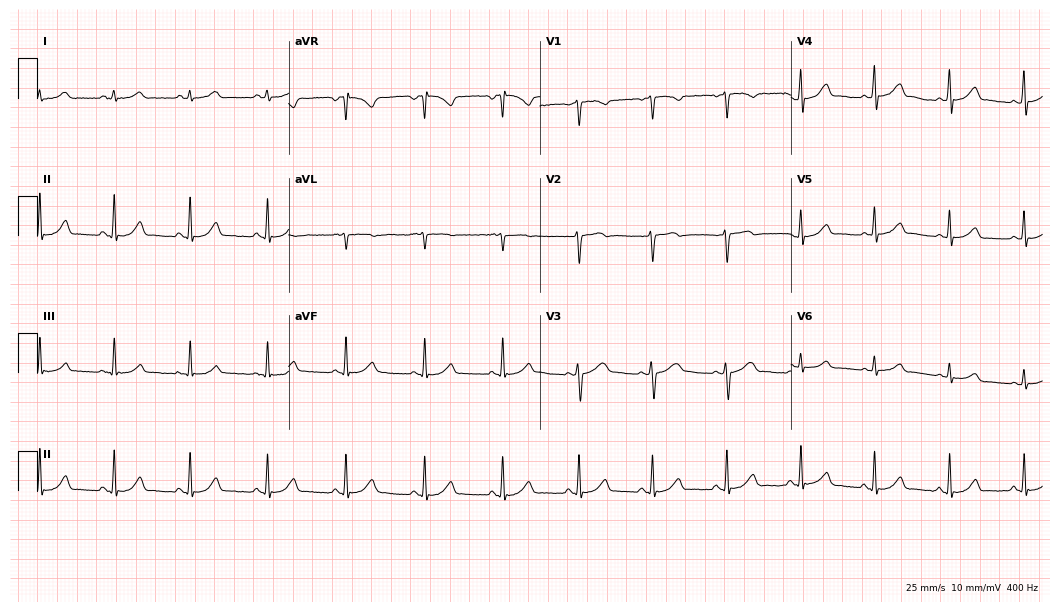
Standard 12-lead ECG recorded from a 29-year-old woman. Read as a normal ECG.